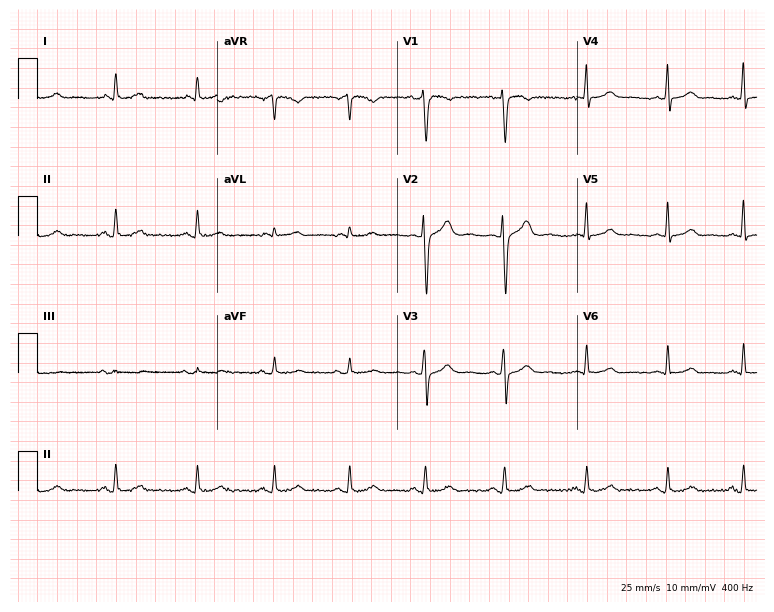
12-lead ECG from a 42-year-old female patient. Recorded interpretation: within normal limits.